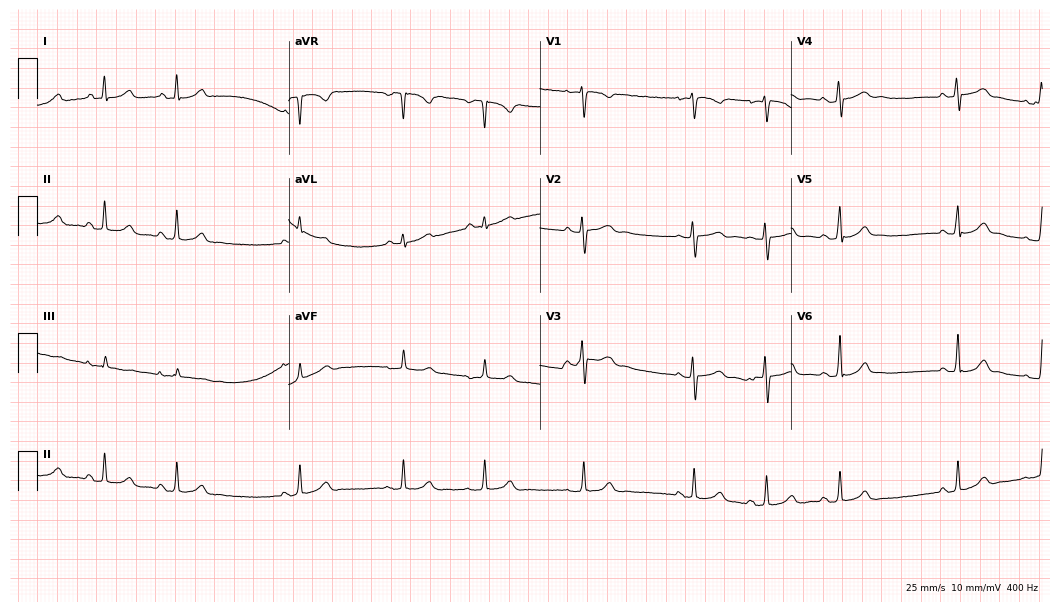
Electrocardiogram (10.2-second recording at 400 Hz), a 28-year-old female patient. Of the six screened findings (first-degree AV block, right bundle branch block (RBBB), left bundle branch block (LBBB), sinus bradycardia, atrial fibrillation (AF), sinus tachycardia), none is recorded. Findings outside these six are not listed.